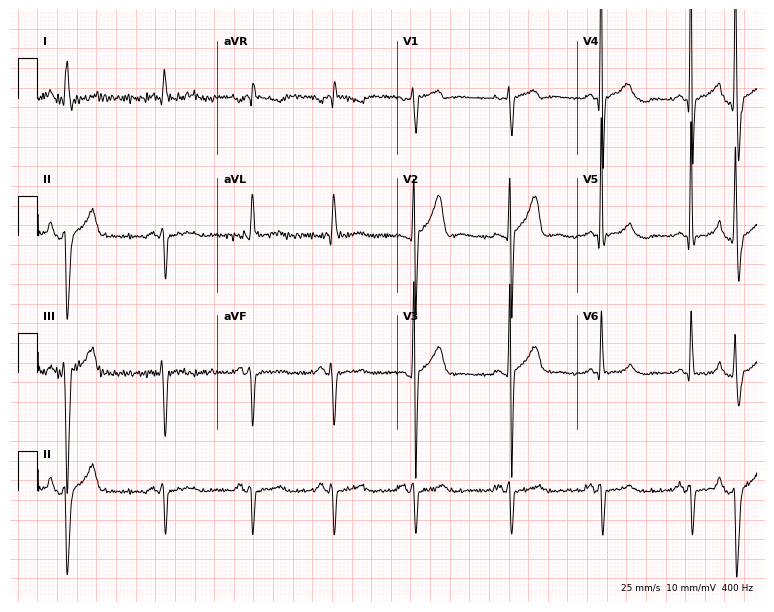
Standard 12-lead ECG recorded from a male, 63 years old. None of these six findings is recorded: first-degree AV block, right bundle branch block (RBBB), left bundle branch block (LBBB), sinus bradycardia, atrial fibrillation (AF), sinus tachycardia. Other findings, if any, are not listed.